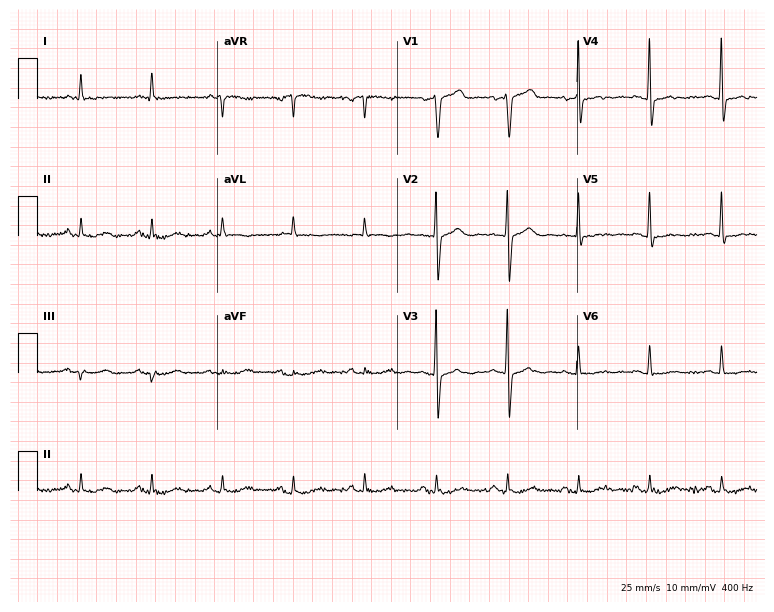
ECG (7.3-second recording at 400 Hz) — a 73-year-old man. Screened for six findings — first-degree AV block, right bundle branch block (RBBB), left bundle branch block (LBBB), sinus bradycardia, atrial fibrillation (AF), sinus tachycardia — none is recorded.